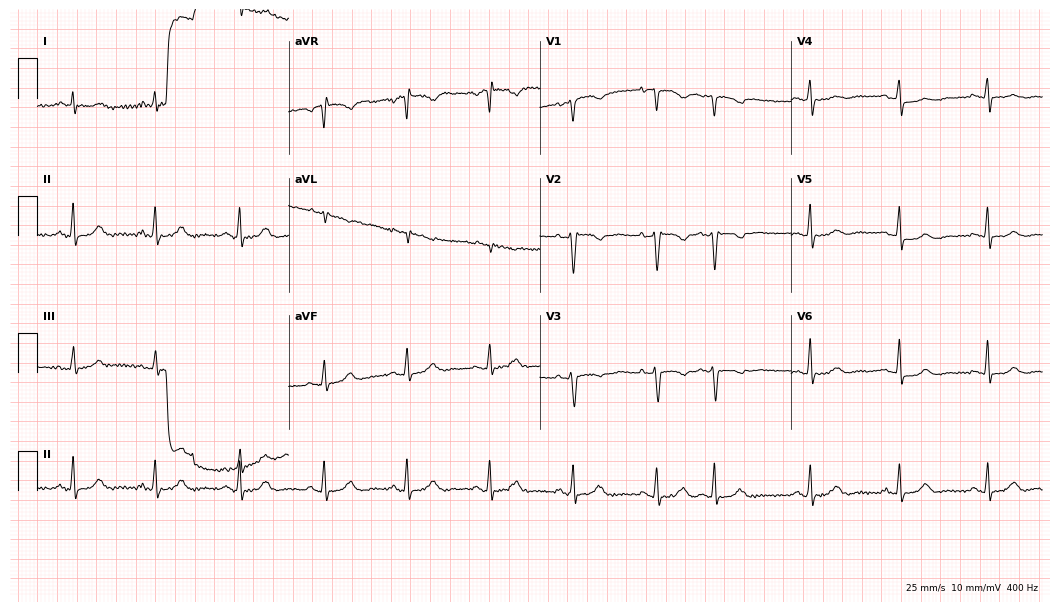
ECG (10.2-second recording at 400 Hz) — a woman, 52 years old. Screened for six findings — first-degree AV block, right bundle branch block (RBBB), left bundle branch block (LBBB), sinus bradycardia, atrial fibrillation (AF), sinus tachycardia — none is recorded. Findings outside these six are not listed.